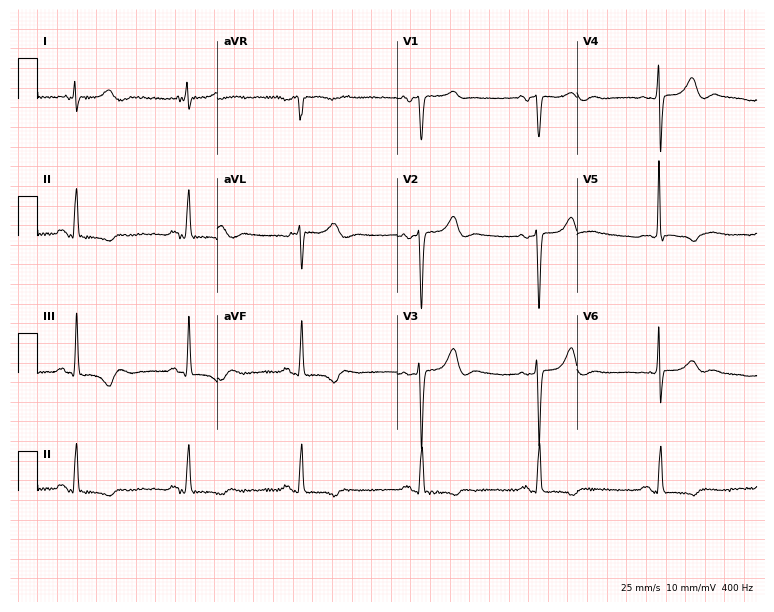
ECG (7.3-second recording at 400 Hz) — a woman, 85 years old. Findings include sinus bradycardia (a sinus rate of 50 beats per minute or less).